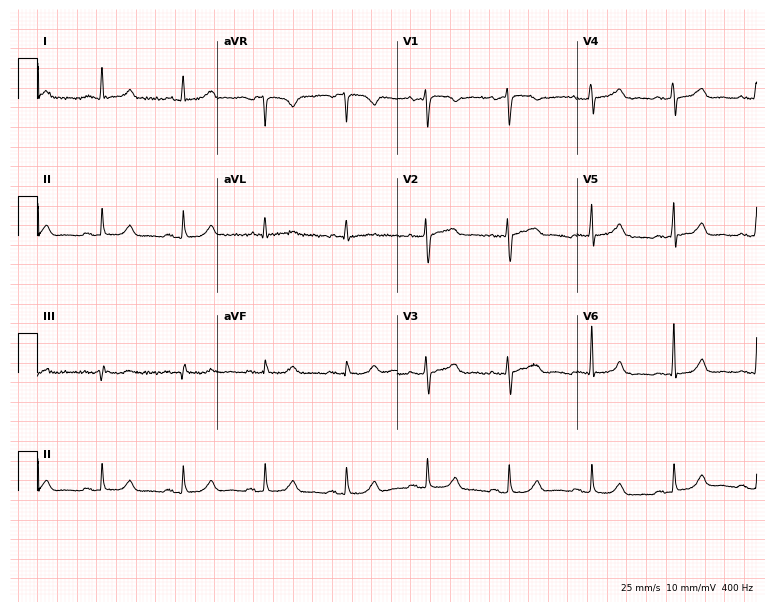
12-lead ECG from a female patient, 38 years old. Screened for six findings — first-degree AV block, right bundle branch block, left bundle branch block, sinus bradycardia, atrial fibrillation, sinus tachycardia — none is recorded. Only these six findings were labelled.